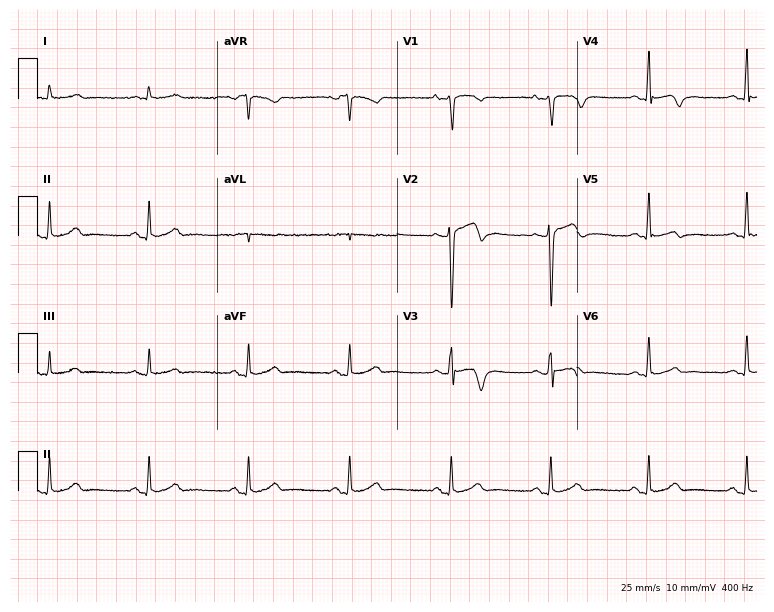
12-lead ECG (7.3-second recording at 400 Hz) from a 65-year-old male patient. Screened for six findings — first-degree AV block, right bundle branch block, left bundle branch block, sinus bradycardia, atrial fibrillation, sinus tachycardia — none is recorded.